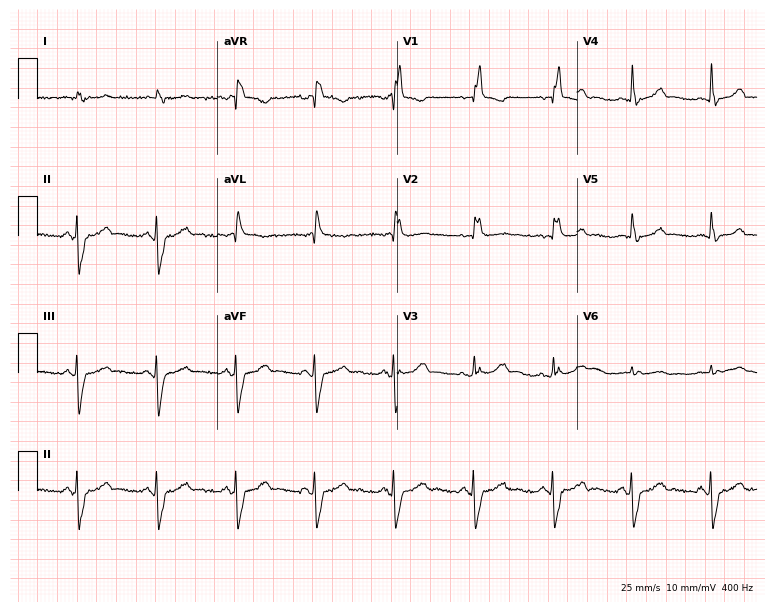
12-lead ECG from a 76-year-old male patient. Findings include right bundle branch block (RBBB).